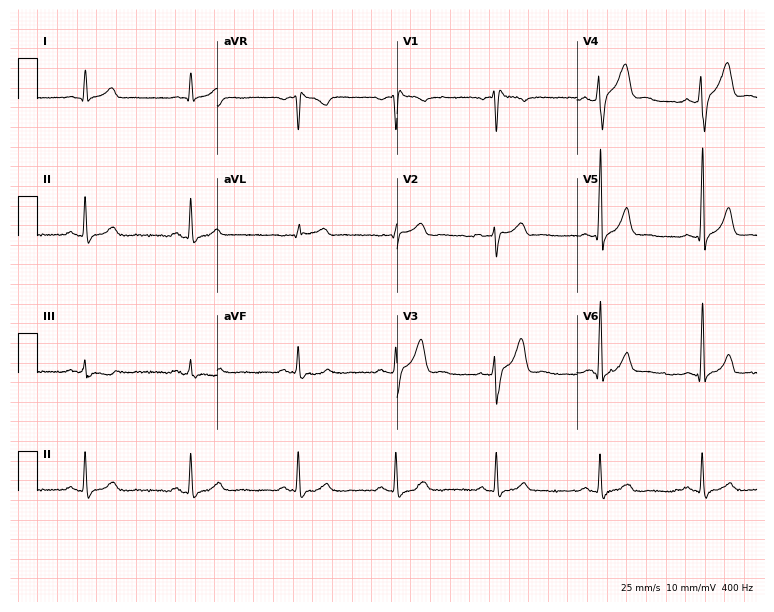
Electrocardiogram (7.3-second recording at 400 Hz), a male patient, 45 years old. Of the six screened findings (first-degree AV block, right bundle branch block, left bundle branch block, sinus bradycardia, atrial fibrillation, sinus tachycardia), none is recorded. Other findings, if any, are not listed.